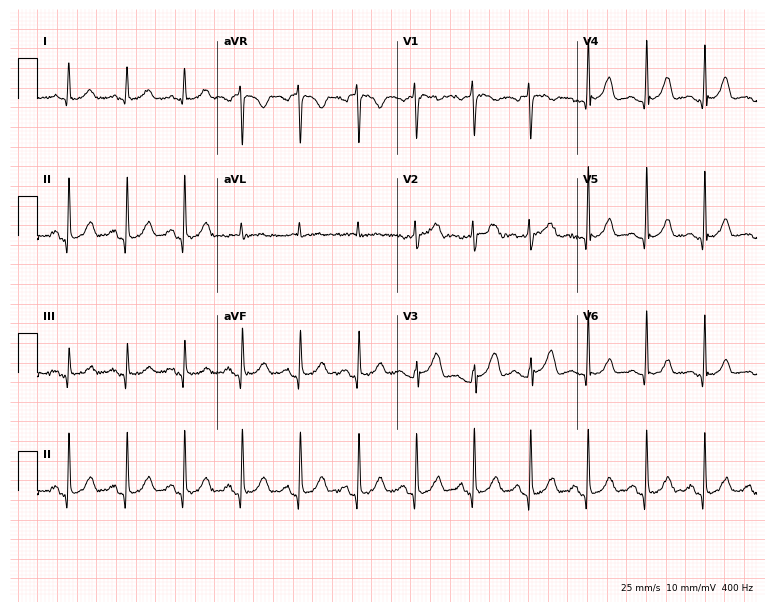
ECG — a 47-year-old female patient. Screened for six findings — first-degree AV block, right bundle branch block, left bundle branch block, sinus bradycardia, atrial fibrillation, sinus tachycardia — none is recorded.